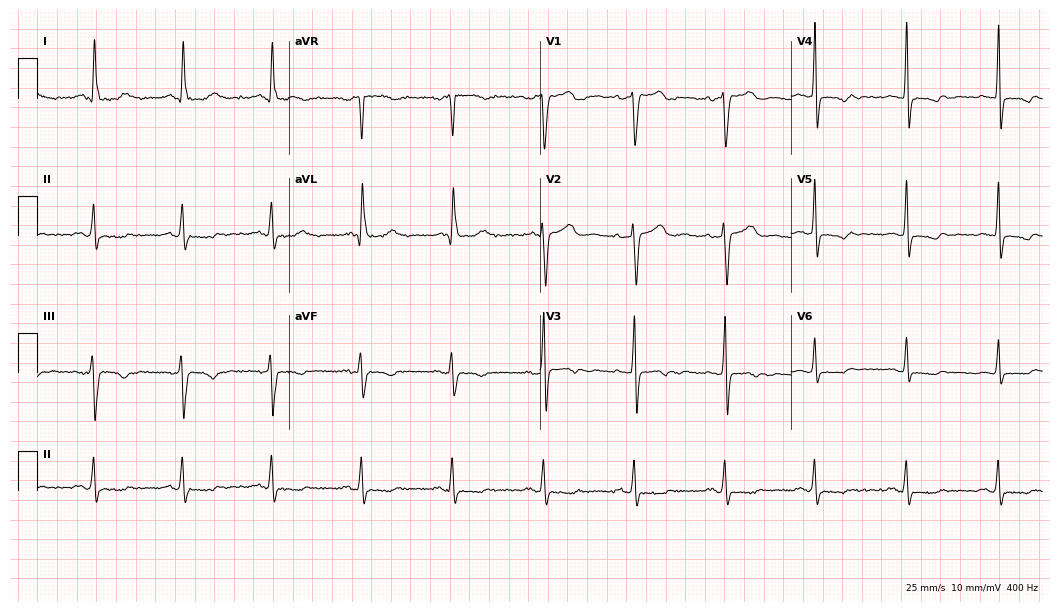
Standard 12-lead ECG recorded from a woman, 57 years old (10.2-second recording at 400 Hz). None of these six findings is recorded: first-degree AV block, right bundle branch block, left bundle branch block, sinus bradycardia, atrial fibrillation, sinus tachycardia.